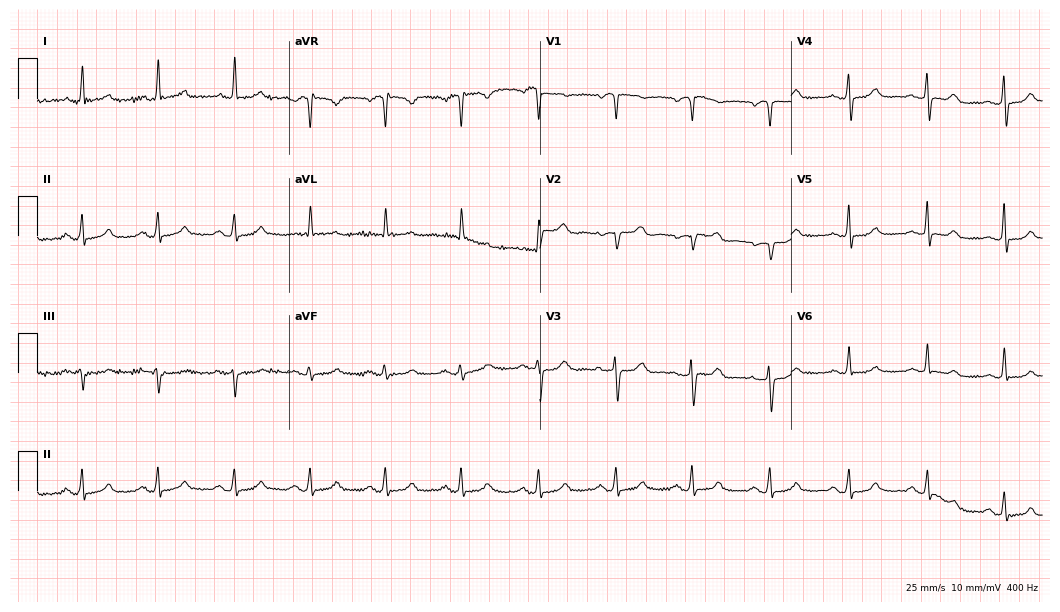
Electrocardiogram (10.2-second recording at 400 Hz), a 67-year-old female patient. Of the six screened findings (first-degree AV block, right bundle branch block, left bundle branch block, sinus bradycardia, atrial fibrillation, sinus tachycardia), none is recorded. Other findings, if any, are not listed.